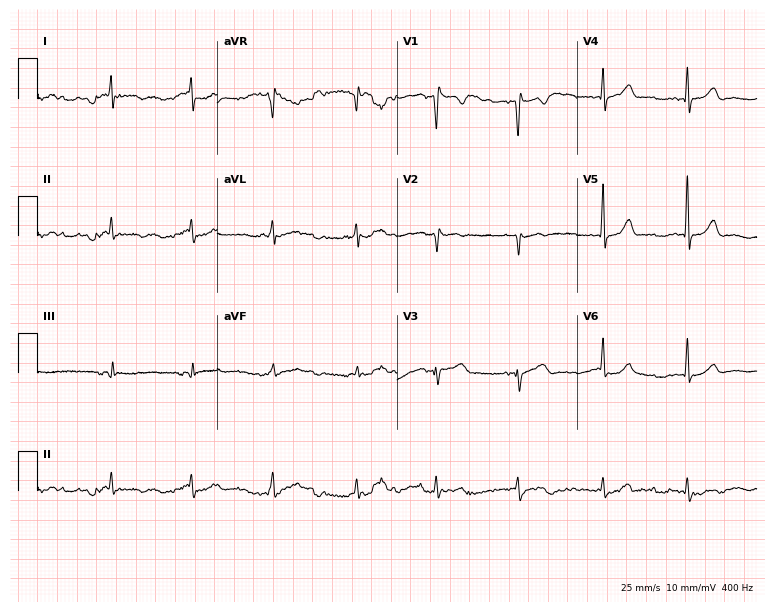
12-lead ECG (7.3-second recording at 400 Hz) from a 72-year-old woman. Screened for six findings — first-degree AV block, right bundle branch block, left bundle branch block, sinus bradycardia, atrial fibrillation, sinus tachycardia — none is recorded.